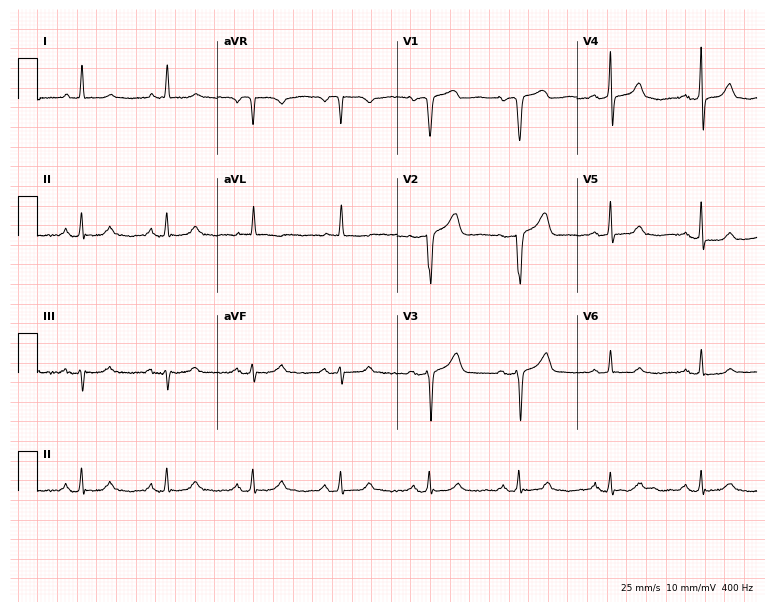
Electrocardiogram, a female, 71 years old. Overall reading on record: normal ECG.